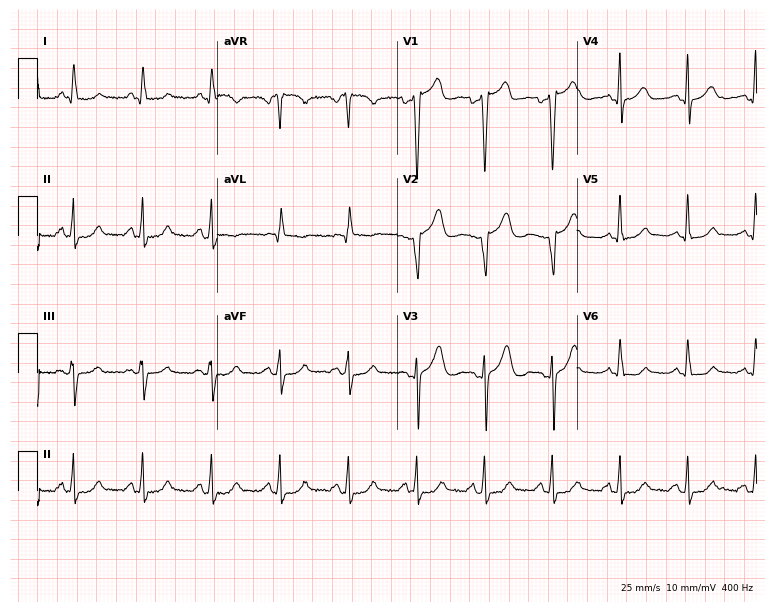
12-lead ECG (7.3-second recording at 400 Hz) from a female, 49 years old. Labelled as a normal ECG.